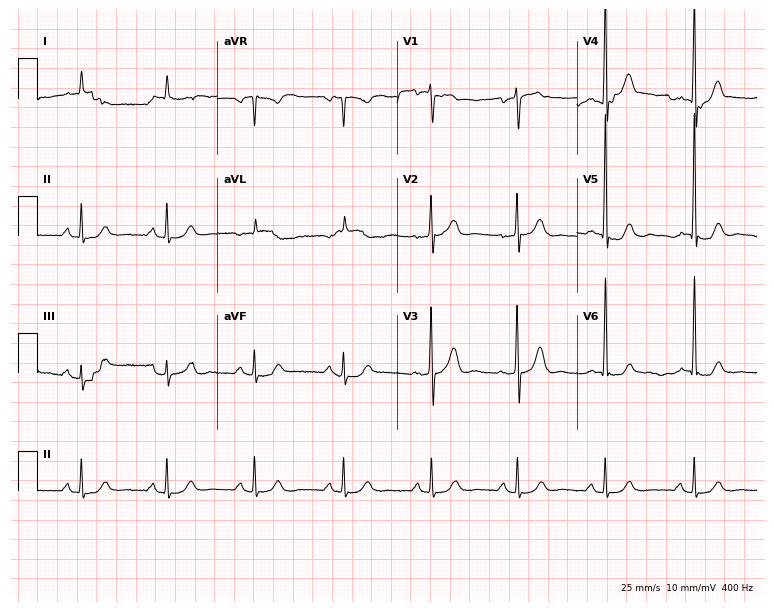
Resting 12-lead electrocardiogram. Patient: a man, 70 years old. Read as a normal ECG.